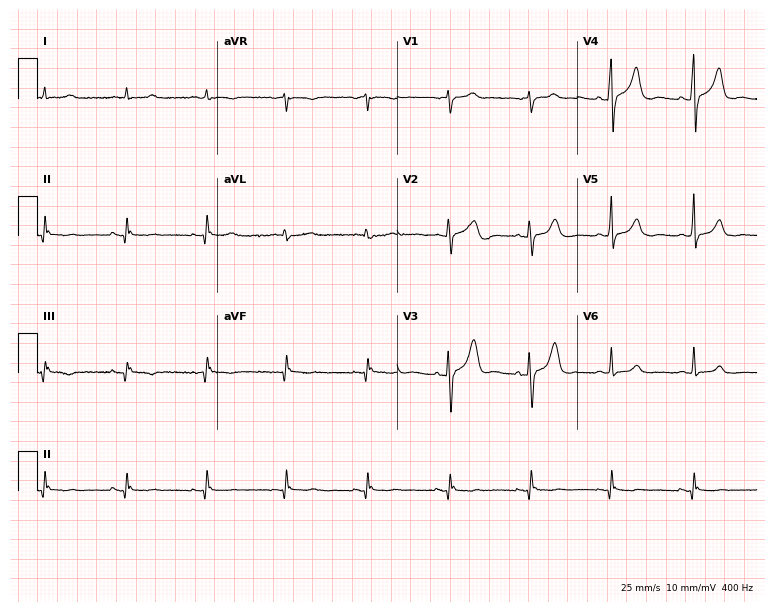
Electrocardiogram (7.3-second recording at 400 Hz), a male, 84 years old. Of the six screened findings (first-degree AV block, right bundle branch block, left bundle branch block, sinus bradycardia, atrial fibrillation, sinus tachycardia), none is recorded.